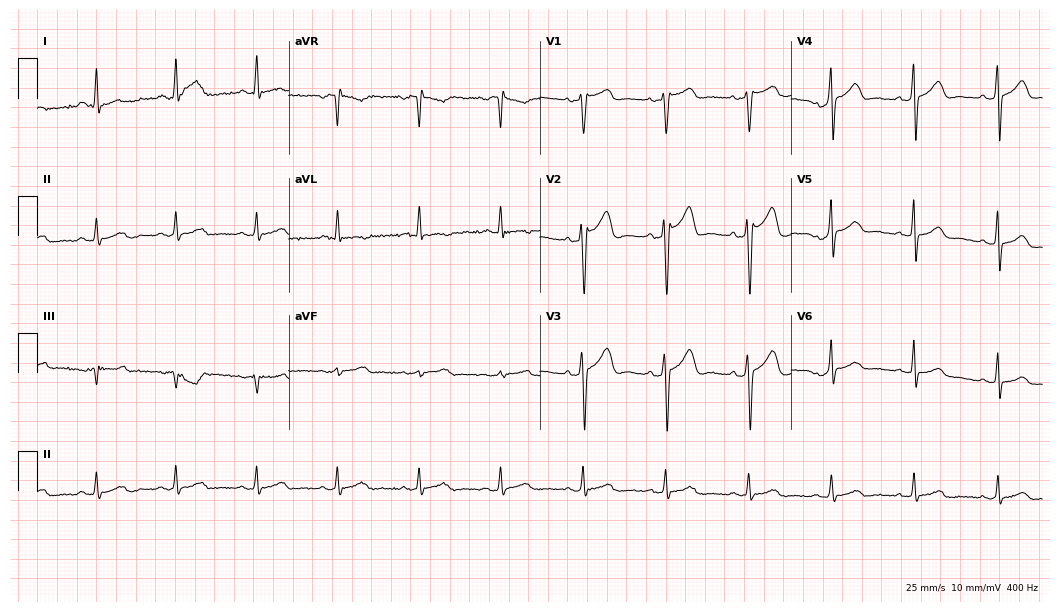
Resting 12-lead electrocardiogram (10.2-second recording at 400 Hz). Patient: a 48-year-old male. None of these six findings is recorded: first-degree AV block, right bundle branch block (RBBB), left bundle branch block (LBBB), sinus bradycardia, atrial fibrillation (AF), sinus tachycardia. Other findings, if any, are not listed.